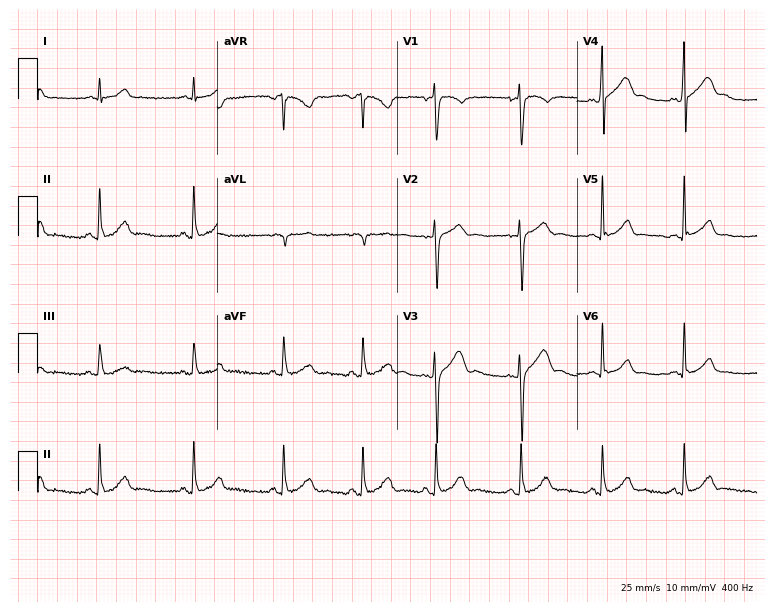
12-lead ECG (7.3-second recording at 400 Hz) from a male patient, 20 years old. Labelled as a normal ECG.